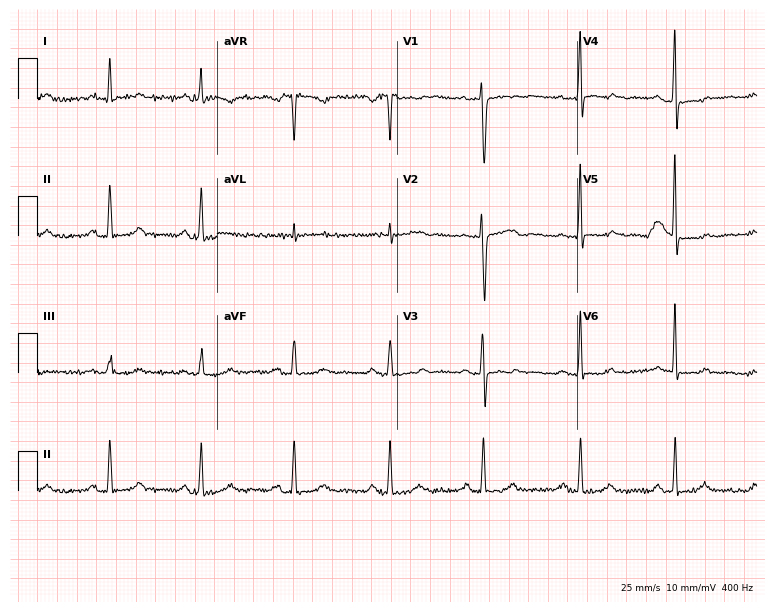
Electrocardiogram (7.3-second recording at 400 Hz), a 56-year-old female patient. Overall reading on record: normal ECG.